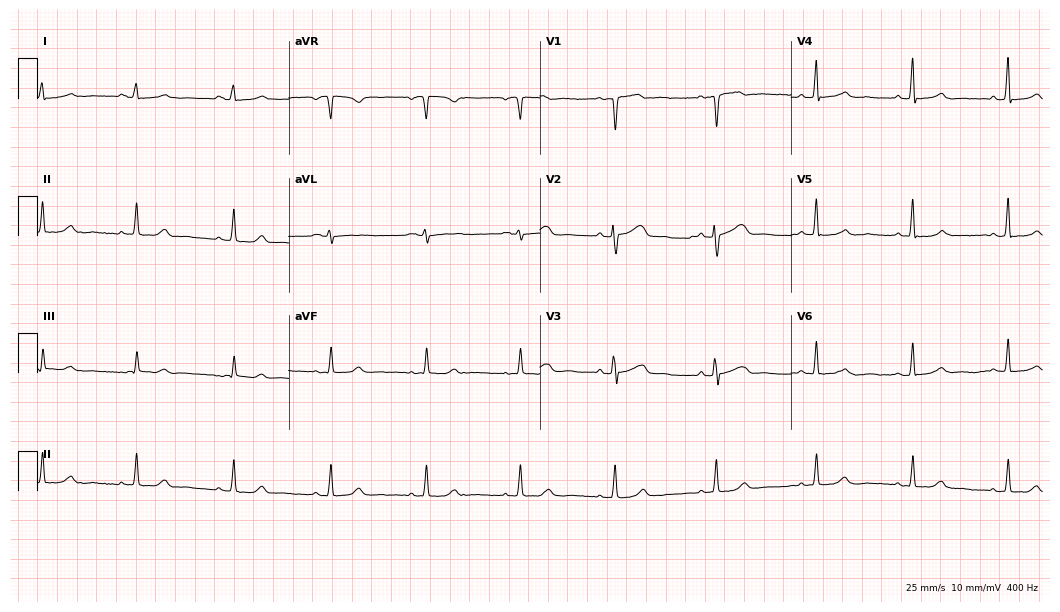
Resting 12-lead electrocardiogram. Patient: a woman, 42 years old. Read as a normal ECG.